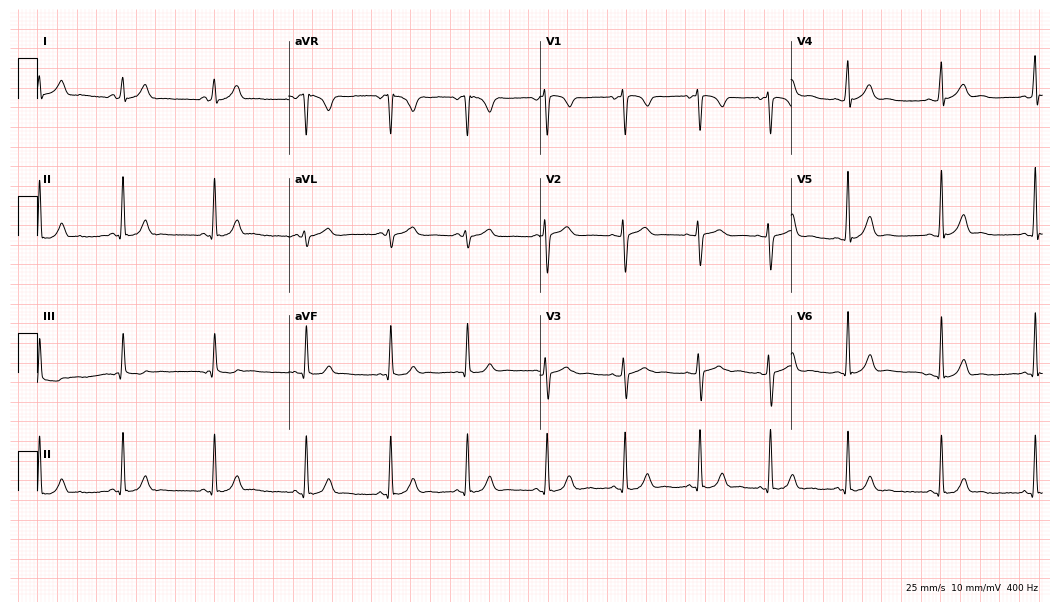
12-lead ECG from a 19-year-old female patient (10.2-second recording at 400 Hz). Recorded interpretation: within normal limits.